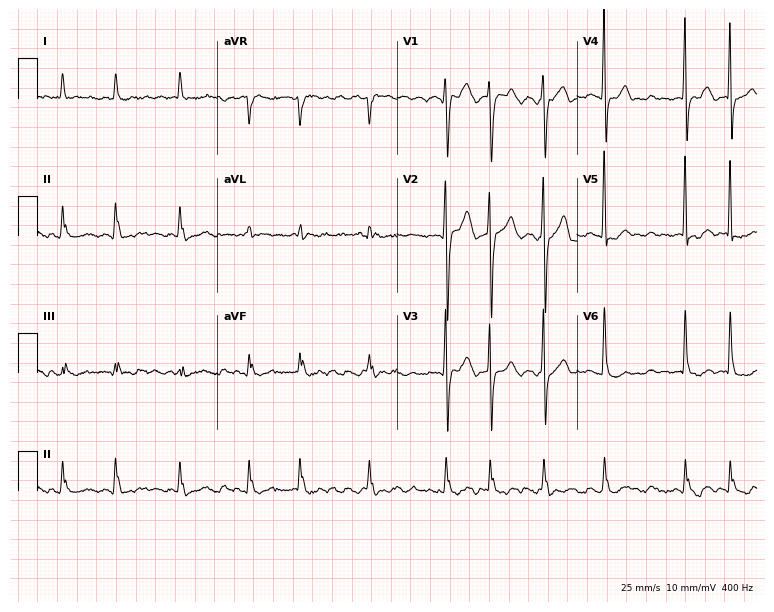
12-lead ECG from a female patient, 82 years old. Shows atrial fibrillation.